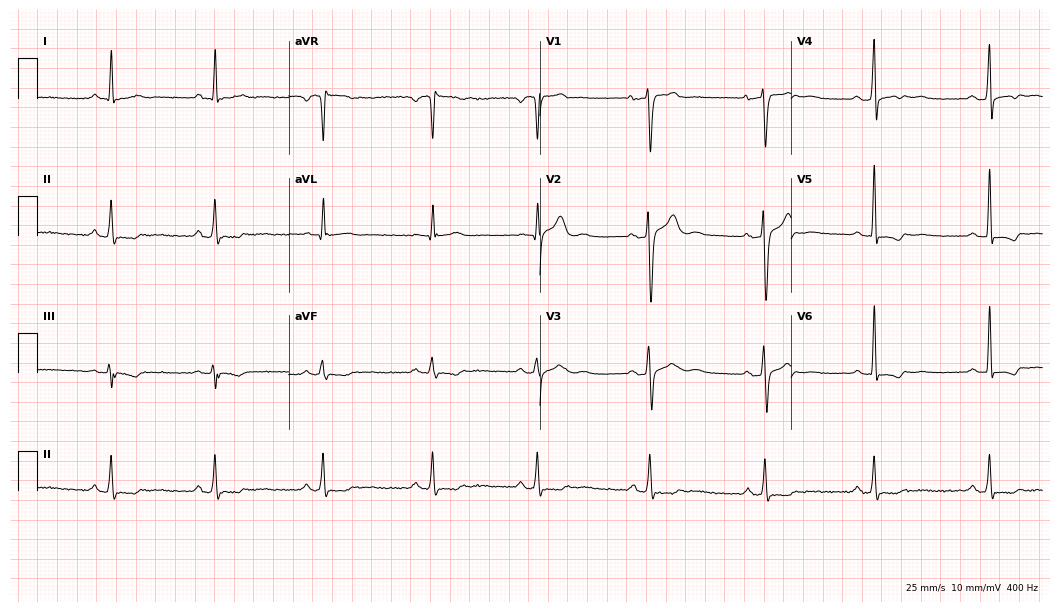
ECG (10.2-second recording at 400 Hz) — a male patient, 37 years old. Screened for six findings — first-degree AV block, right bundle branch block (RBBB), left bundle branch block (LBBB), sinus bradycardia, atrial fibrillation (AF), sinus tachycardia — none is recorded. Findings outside these six are not listed.